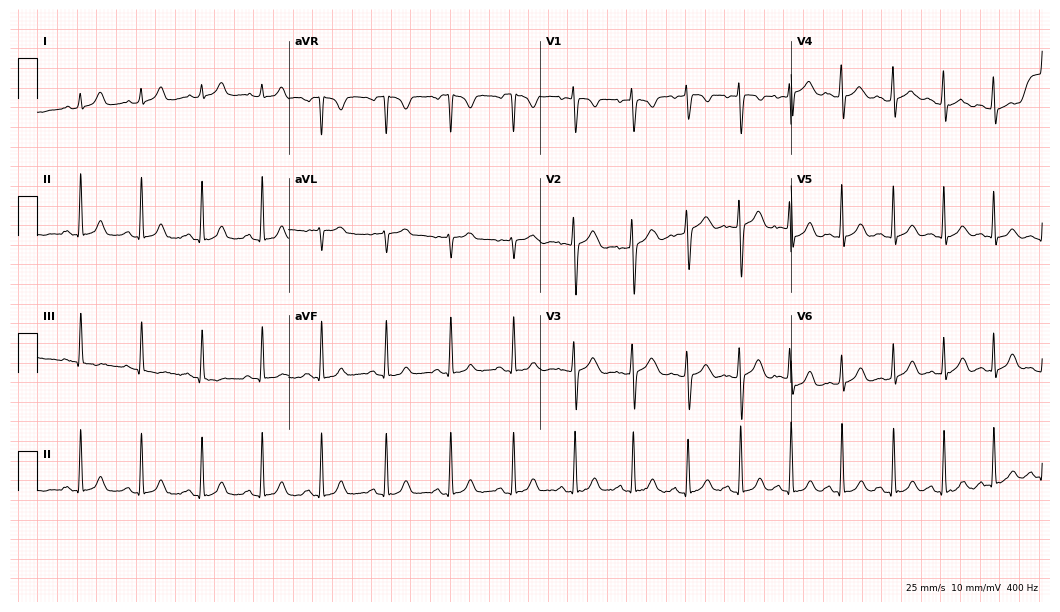
12-lead ECG from a woman, 25 years old. Labelled as a normal ECG.